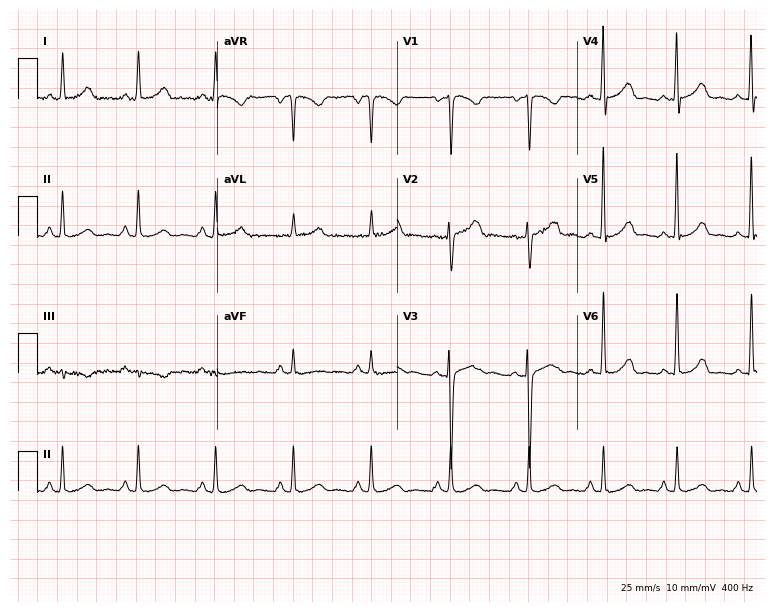
12-lead ECG from a 31-year-old female patient. Screened for six findings — first-degree AV block, right bundle branch block, left bundle branch block, sinus bradycardia, atrial fibrillation, sinus tachycardia — none is recorded.